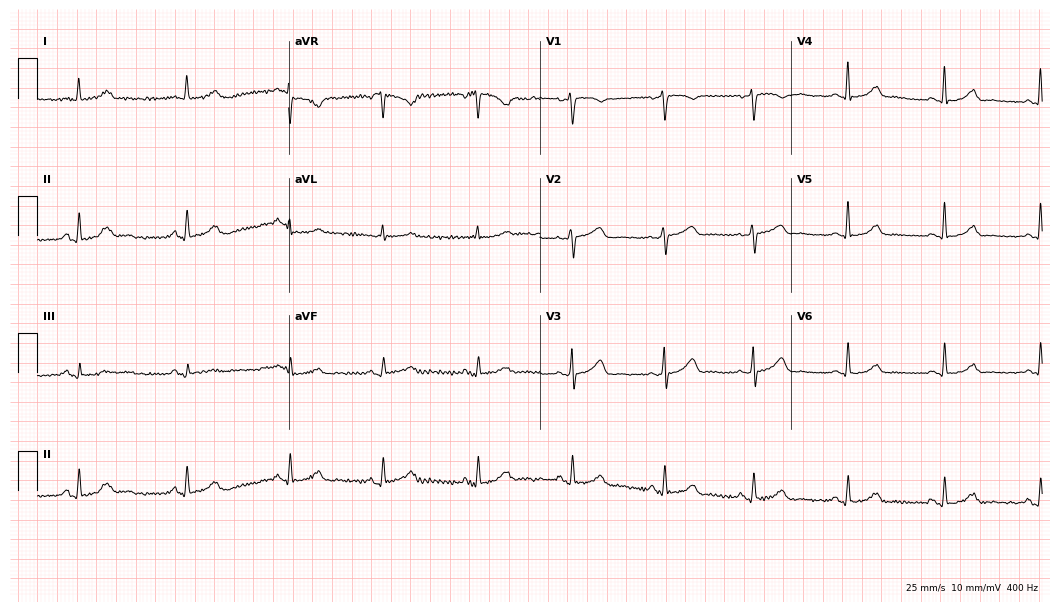
Standard 12-lead ECG recorded from a woman, 45 years old (10.2-second recording at 400 Hz). Read as a normal ECG.